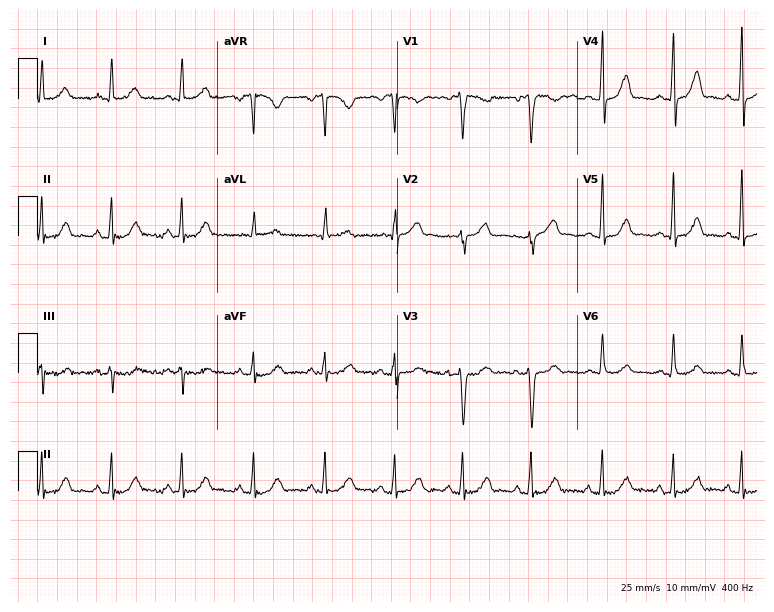
12-lead ECG (7.3-second recording at 400 Hz) from a 28-year-old woman. Labelled as a normal ECG.